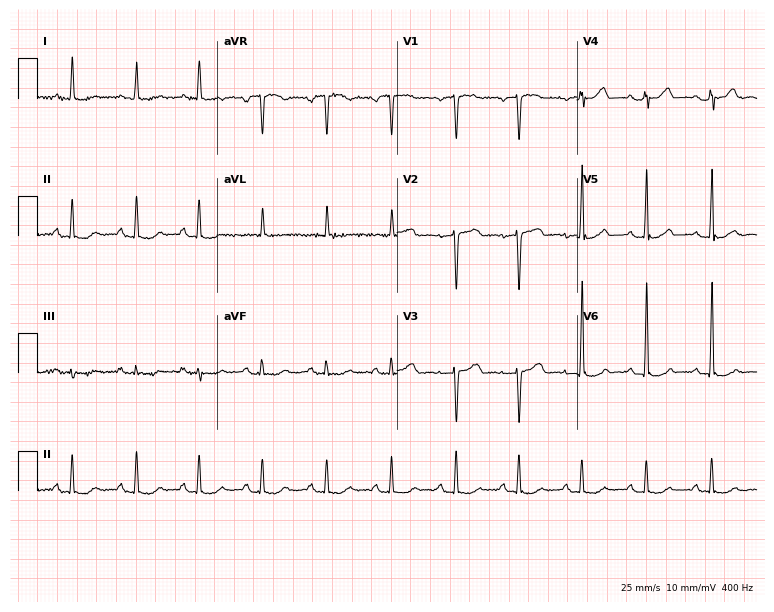
12-lead ECG from a female, 73 years old. Screened for six findings — first-degree AV block, right bundle branch block (RBBB), left bundle branch block (LBBB), sinus bradycardia, atrial fibrillation (AF), sinus tachycardia — none is recorded.